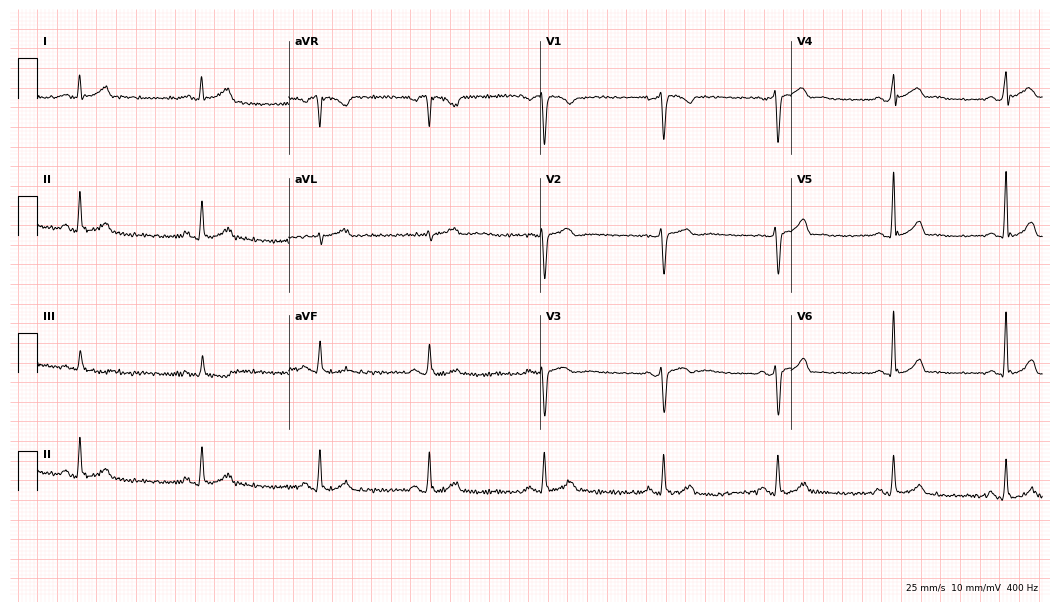
Resting 12-lead electrocardiogram. Patient: a 27-year-old man. The tracing shows sinus bradycardia (a sinus rate of 50 beats per minute or less).